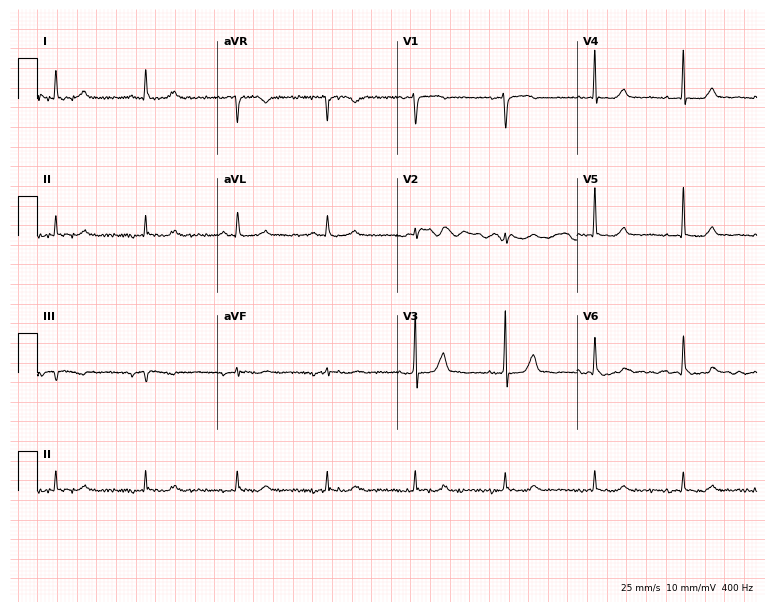
Resting 12-lead electrocardiogram (7.3-second recording at 400 Hz). Patient: a 68-year-old female. None of these six findings is recorded: first-degree AV block, right bundle branch block, left bundle branch block, sinus bradycardia, atrial fibrillation, sinus tachycardia.